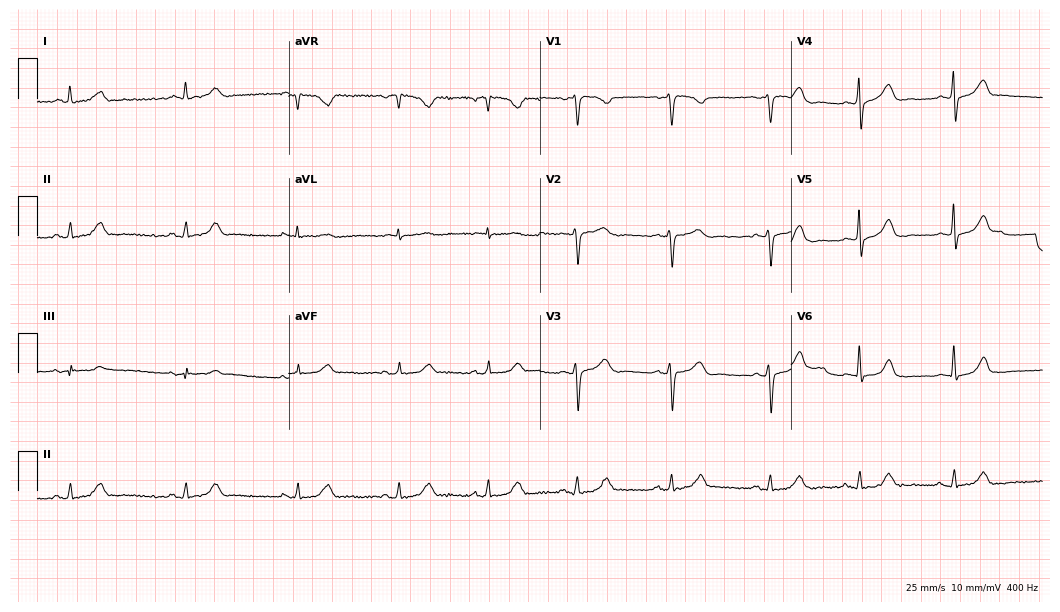
Standard 12-lead ECG recorded from a 43-year-old female (10.2-second recording at 400 Hz). Read as a normal ECG.